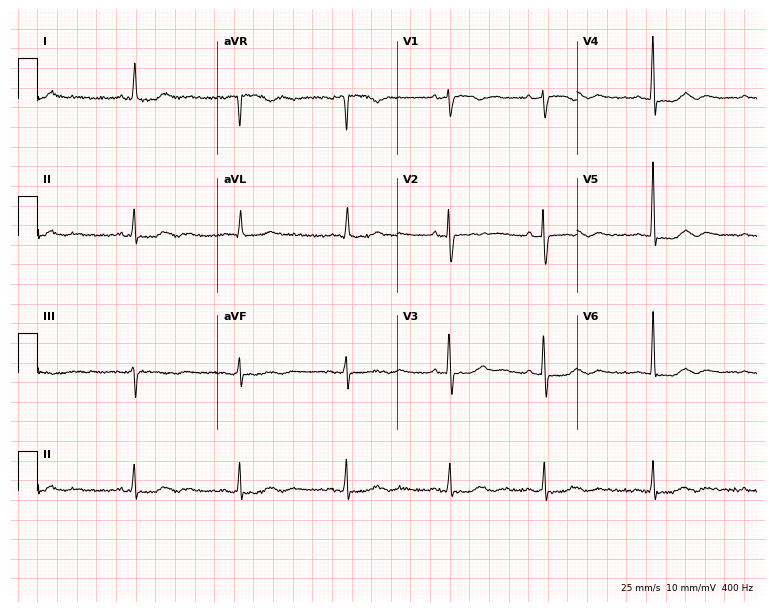
Resting 12-lead electrocardiogram (7.3-second recording at 400 Hz). Patient: a female, 58 years old. None of these six findings is recorded: first-degree AV block, right bundle branch block, left bundle branch block, sinus bradycardia, atrial fibrillation, sinus tachycardia. Findings outside these six are not listed.